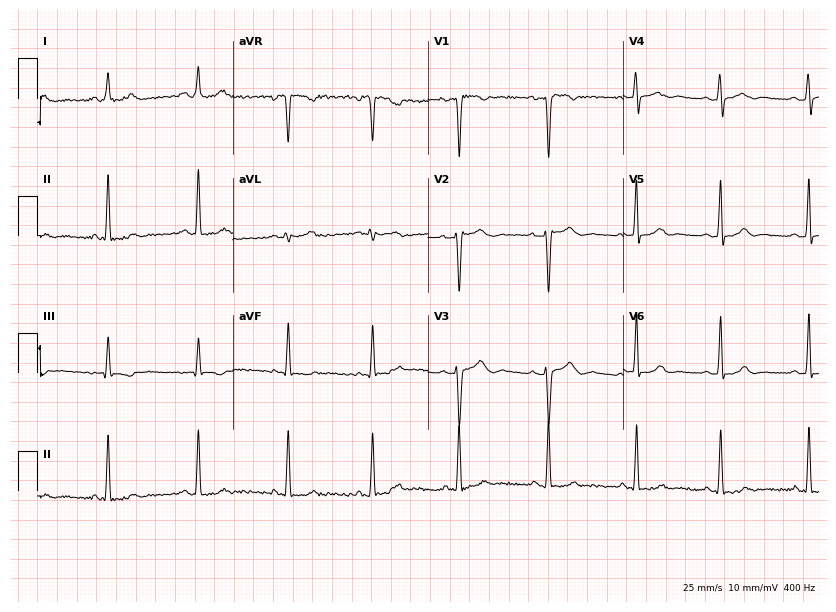
Standard 12-lead ECG recorded from a woman, 27 years old (8-second recording at 400 Hz). None of these six findings is recorded: first-degree AV block, right bundle branch block, left bundle branch block, sinus bradycardia, atrial fibrillation, sinus tachycardia. Findings outside these six are not listed.